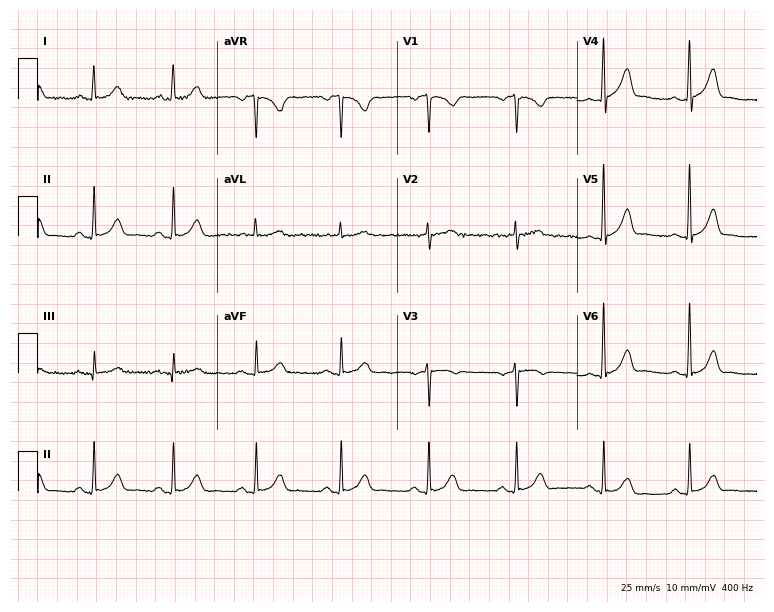
Electrocardiogram, a 56-year-old male. Overall reading on record: normal ECG.